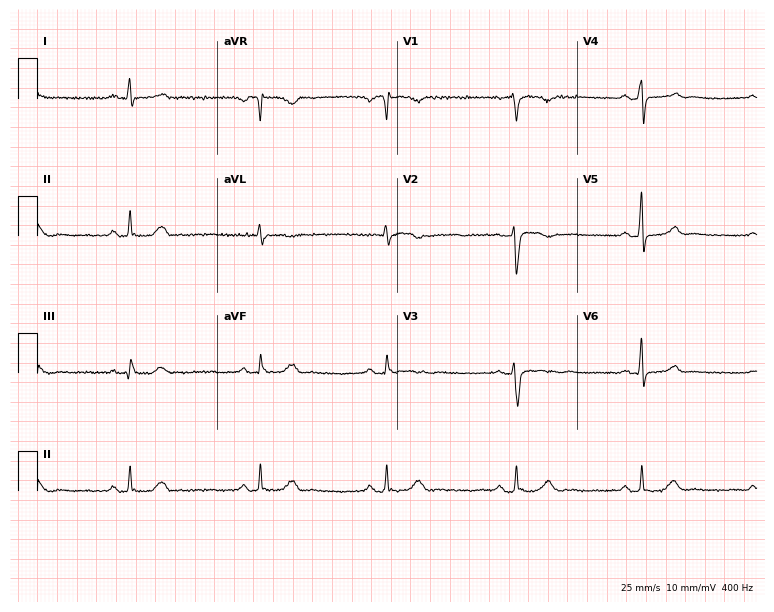
ECG — a woman, 65 years old. Screened for six findings — first-degree AV block, right bundle branch block, left bundle branch block, sinus bradycardia, atrial fibrillation, sinus tachycardia — none is recorded.